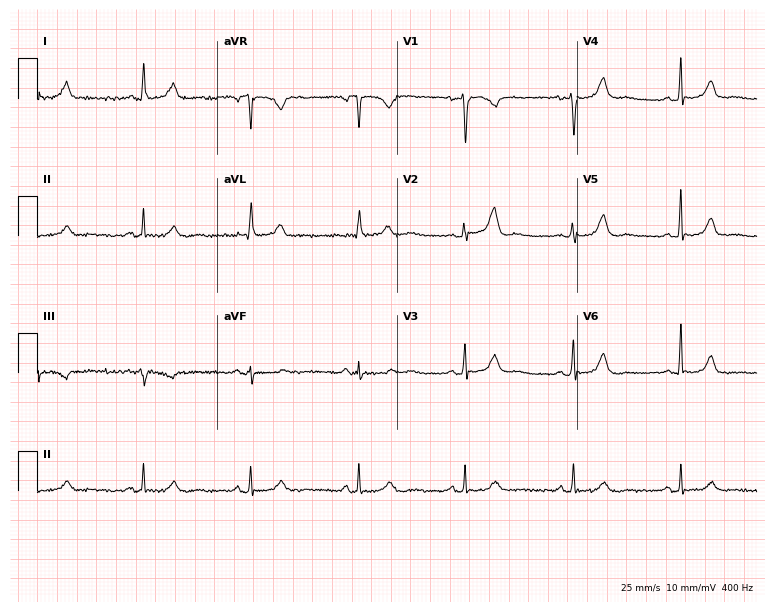
Standard 12-lead ECG recorded from a female, 53 years old. Read as a normal ECG.